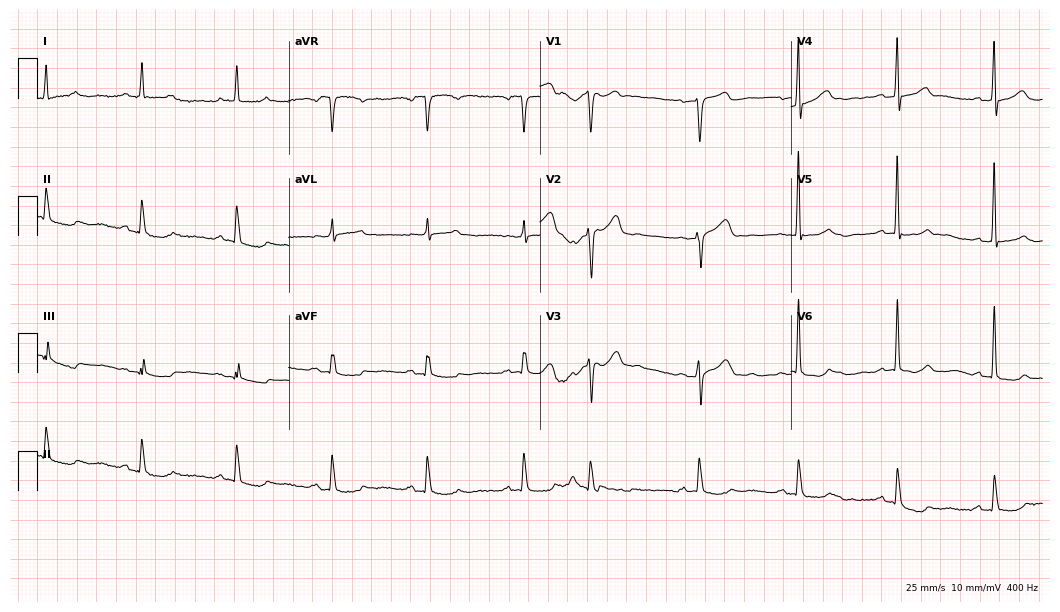
12-lead ECG from a 65-year-old man (10.2-second recording at 400 Hz). No first-degree AV block, right bundle branch block (RBBB), left bundle branch block (LBBB), sinus bradycardia, atrial fibrillation (AF) or sinus tachycardia recorded for this tracing.